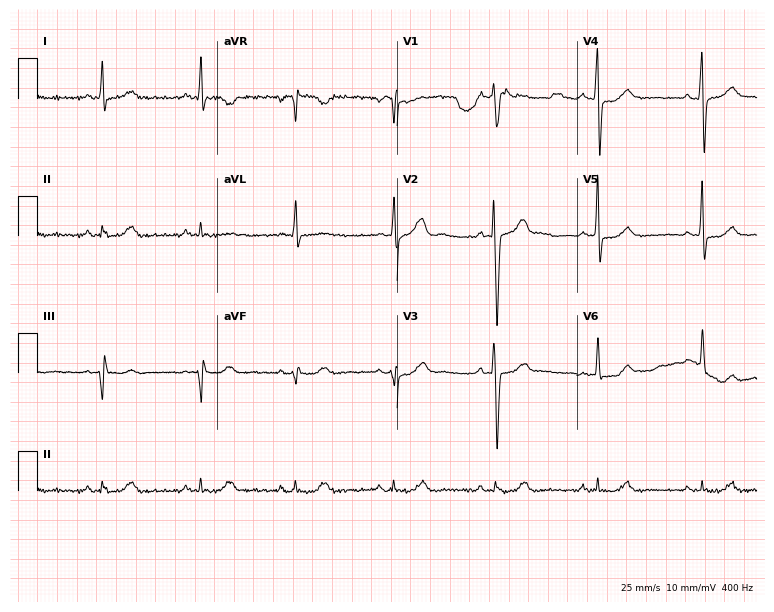
12-lead ECG from a man, 56 years old. Recorded interpretation: within normal limits.